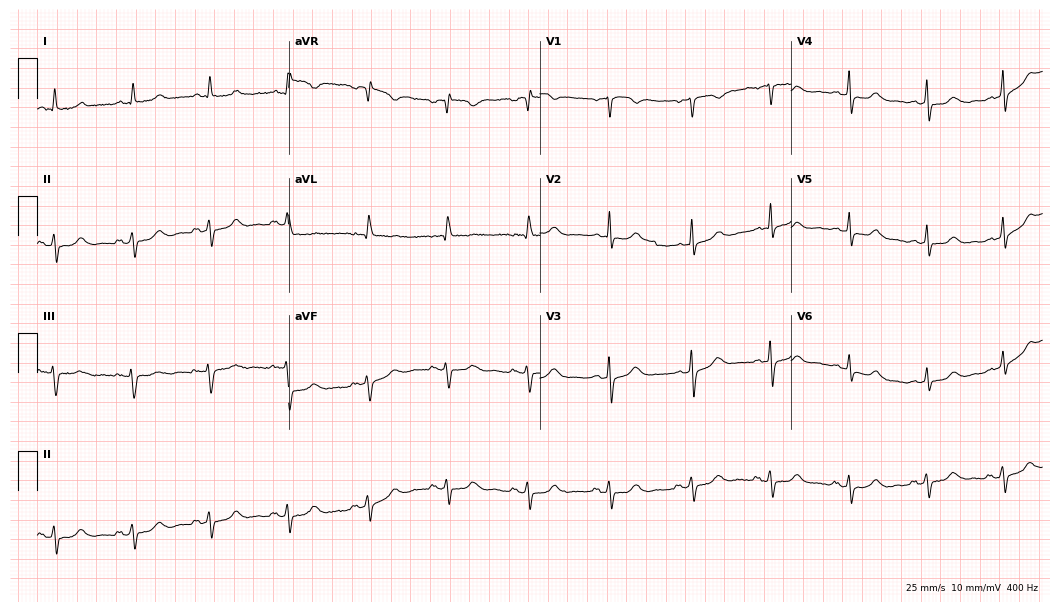
12-lead ECG from a woman, 50 years old. No first-degree AV block, right bundle branch block (RBBB), left bundle branch block (LBBB), sinus bradycardia, atrial fibrillation (AF) or sinus tachycardia recorded for this tracing. Only these six findings were labelled.